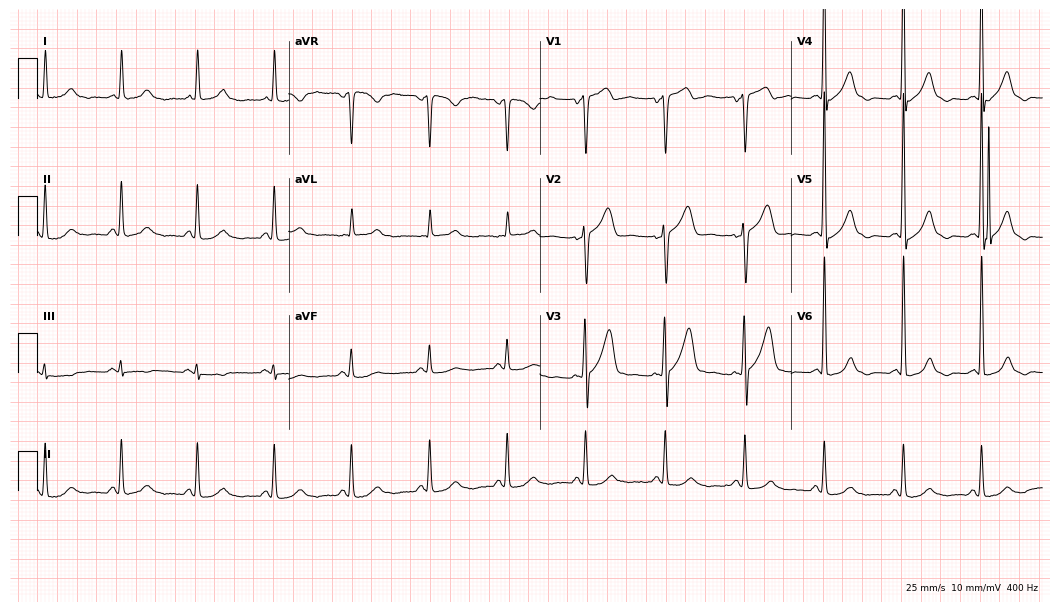
12-lead ECG from a 56-year-old man. Screened for six findings — first-degree AV block, right bundle branch block, left bundle branch block, sinus bradycardia, atrial fibrillation, sinus tachycardia — none is recorded.